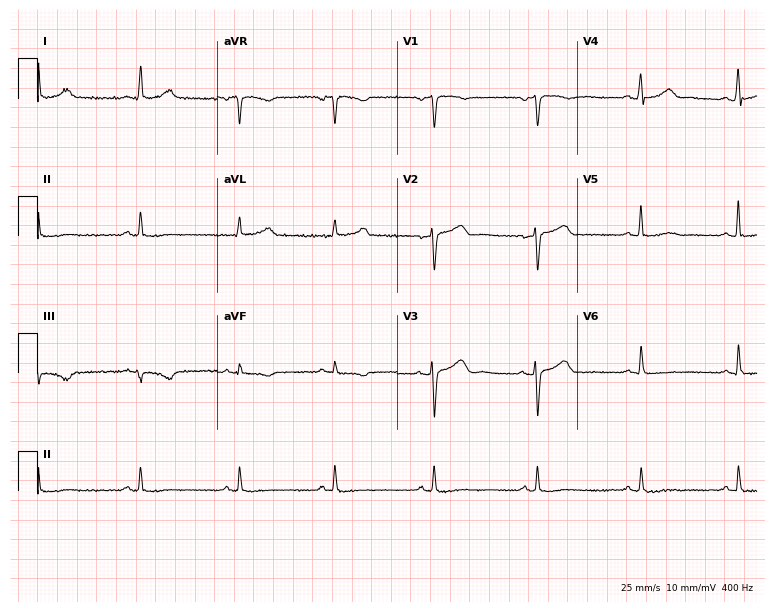
Standard 12-lead ECG recorded from a female, 54 years old (7.3-second recording at 400 Hz). None of these six findings is recorded: first-degree AV block, right bundle branch block, left bundle branch block, sinus bradycardia, atrial fibrillation, sinus tachycardia. Findings outside these six are not listed.